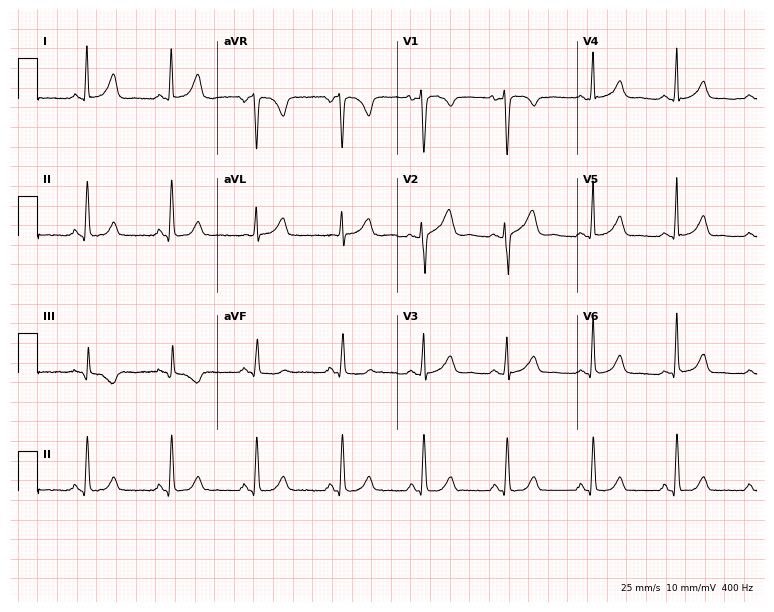
Electrocardiogram (7.3-second recording at 400 Hz), a female, 52 years old. Overall reading on record: normal ECG.